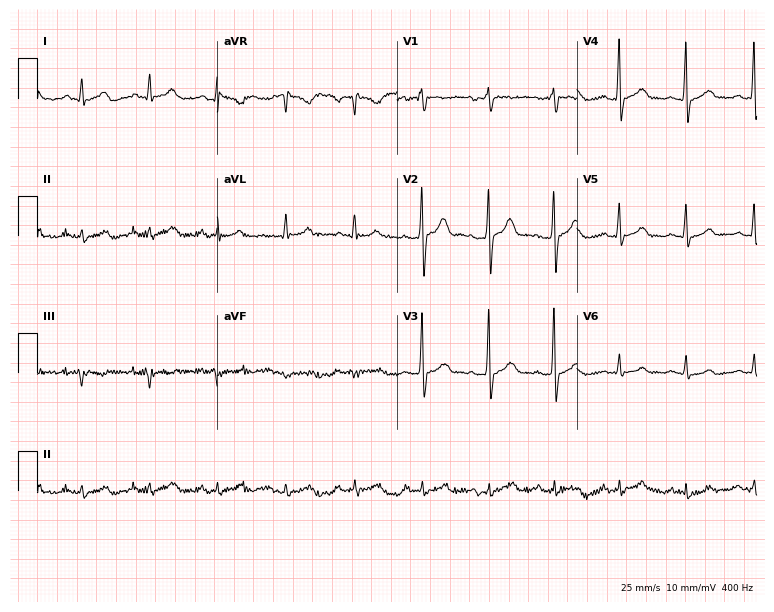
Resting 12-lead electrocardiogram. Patient: a male, 27 years old. None of these six findings is recorded: first-degree AV block, right bundle branch block, left bundle branch block, sinus bradycardia, atrial fibrillation, sinus tachycardia. Findings outside these six are not listed.